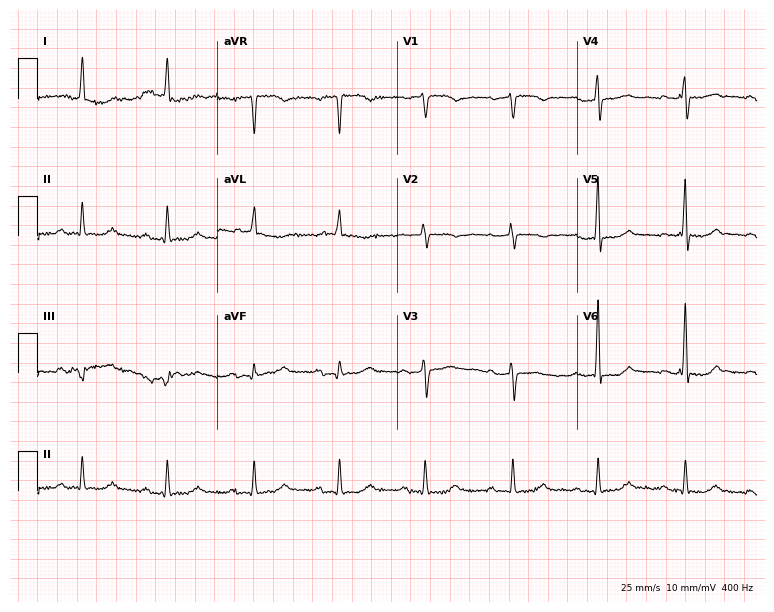
Electrocardiogram, a woman, 74 years old. Interpretation includes first-degree AV block.